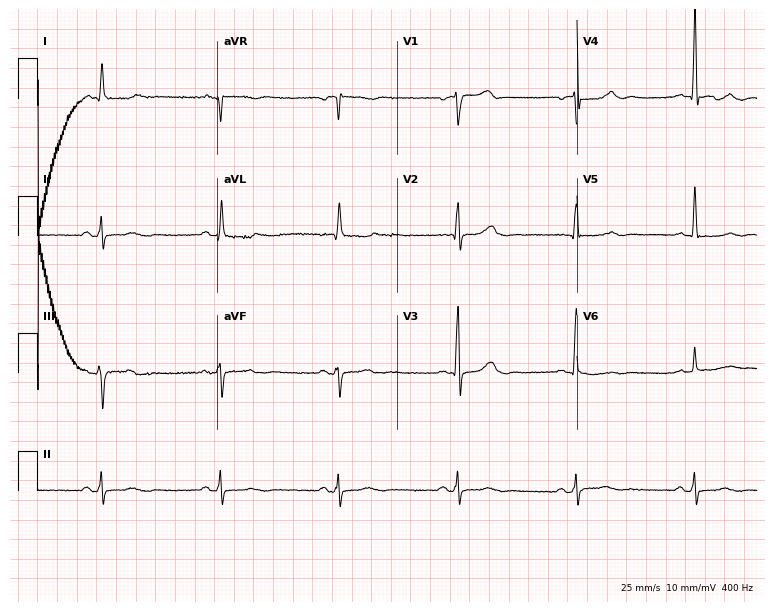
Standard 12-lead ECG recorded from a 76-year-old male (7.3-second recording at 400 Hz). The tracing shows sinus bradycardia (a sinus rate of 50 beats per minute or less).